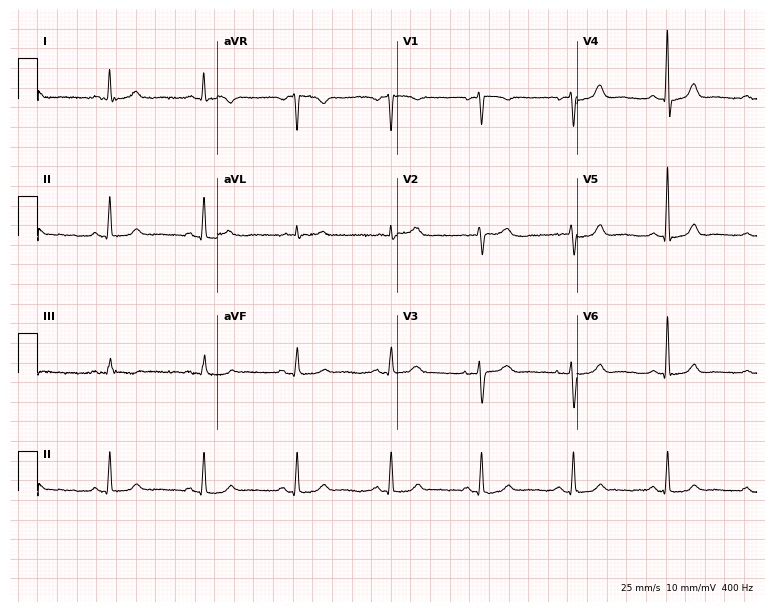
ECG (7.3-second recording at 400 Hz) — a 62-year-old female patient. Labelled as a normal ECG.